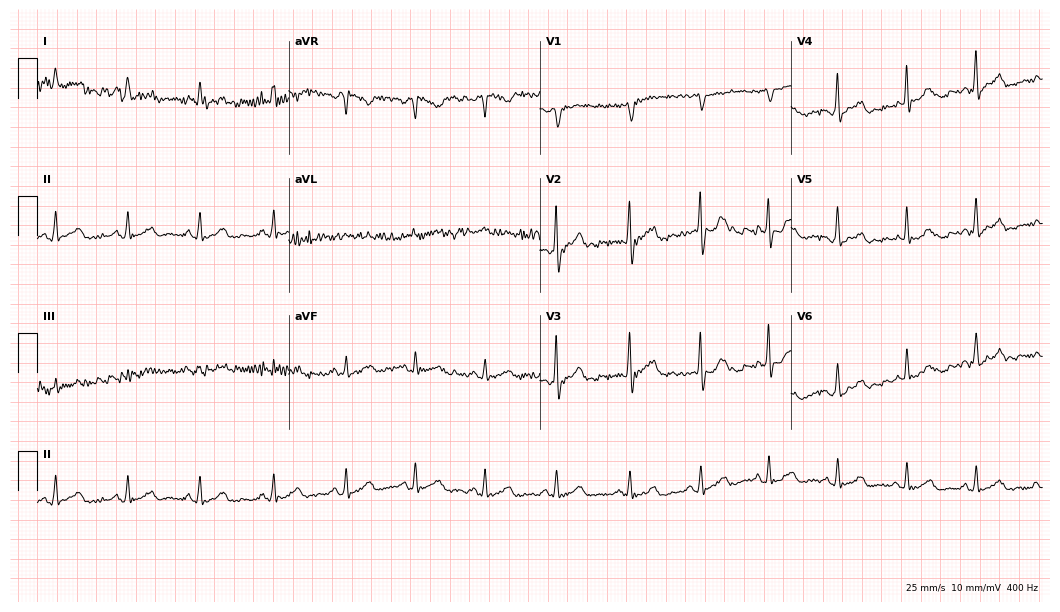
Standard 12-lead ECG recorded from a male, 40 years old. None of these six findings is recorded: first-degree AV block, right bundle branch block, left bundle branch block, sinus bradycardia, atrial fibrillation, sinus tachycardia.